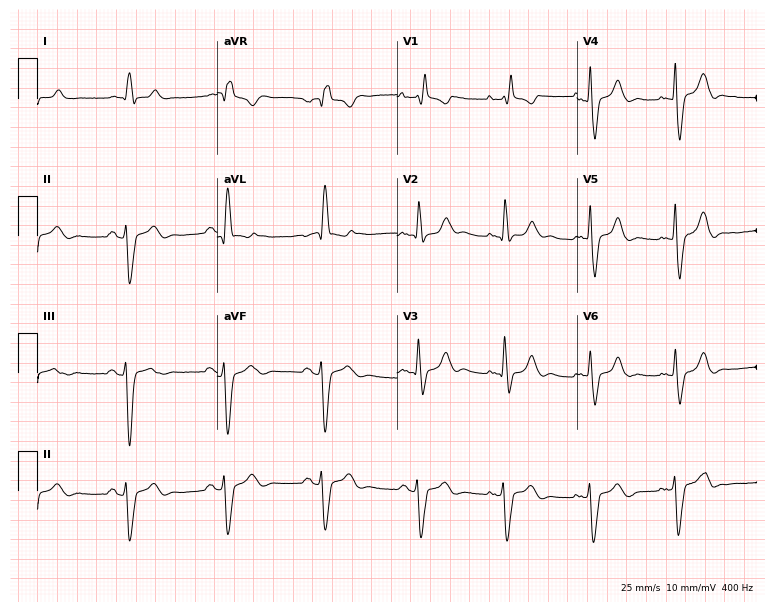
ECG — an 84-year-old male patient. Findings include right bundle branch block (RBBB).